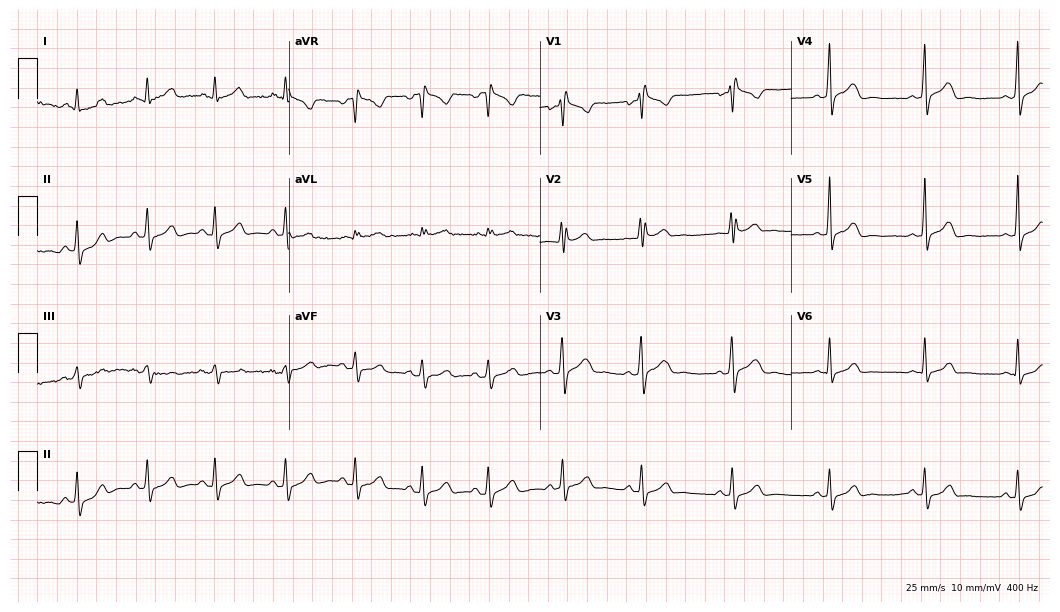
Standard 12-lead ECG recorded from a man, 37 years old (10.2-second recording at 400 Hz). None of these six findings is recorded: first-degree AV block, right bundle branch block (RBBB), left bundle branch block (LBBB), sinus bradycardia, atrial fibrillation (AF), sinus tachycardia.